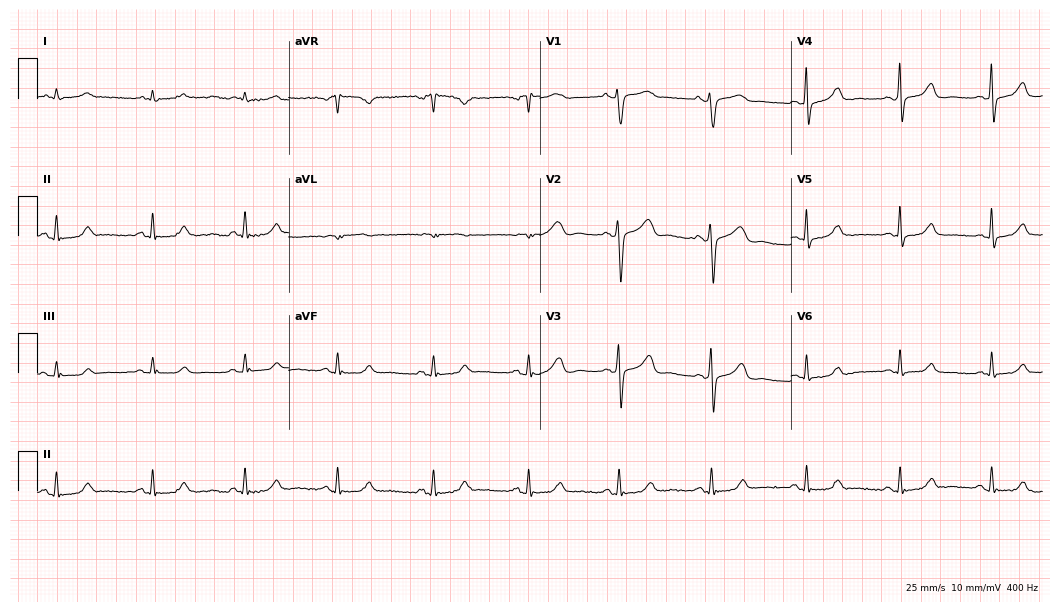
Electrocardiogram (10.2-second recording at 400 Hz), a female patient, 57 years old. Overall reading on record: normal ECG.